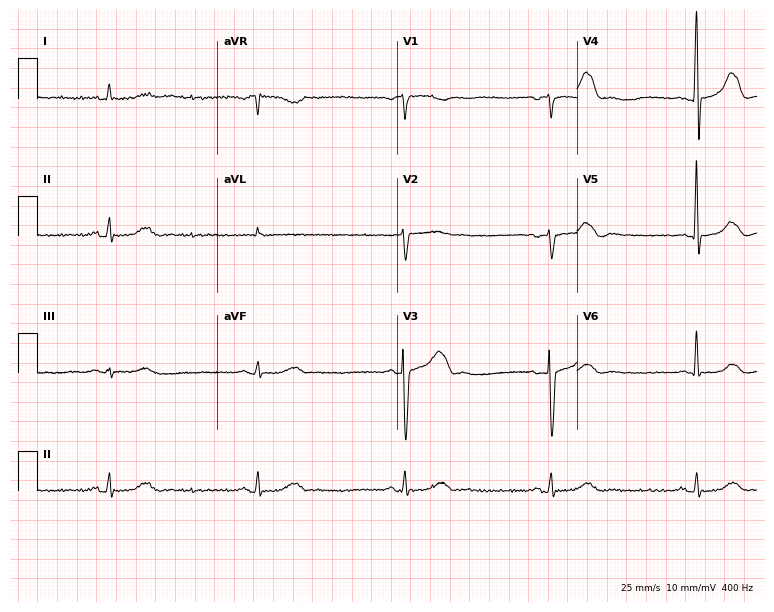
Standard 12-lead ECG recorded from an 82-year-old male (7.3-second recording at 400 Hz). The tracing shows sinus bradycardia (a sinus rate of 50 beats per minute or less).